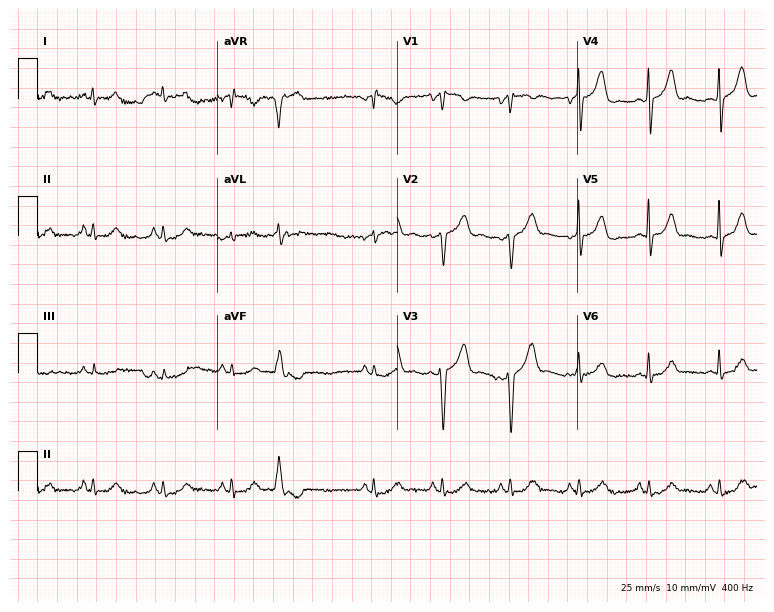
12-lead ECG from a 68-year-old male. Screened for six findings — first-degree AV block, right bundle branch block, left bundle branch block, sinus bradycardia, atrial fibrillation, sinus tachycardia — none is recorded. Other findings, if any, are not listed.